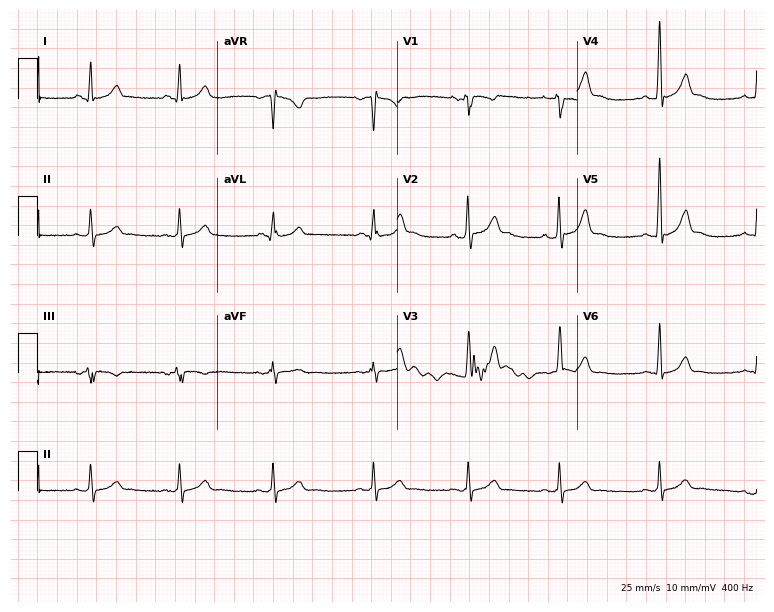
Standard 12-lead ECG recorded from a 24-year-old male. Read as a normal ECG.